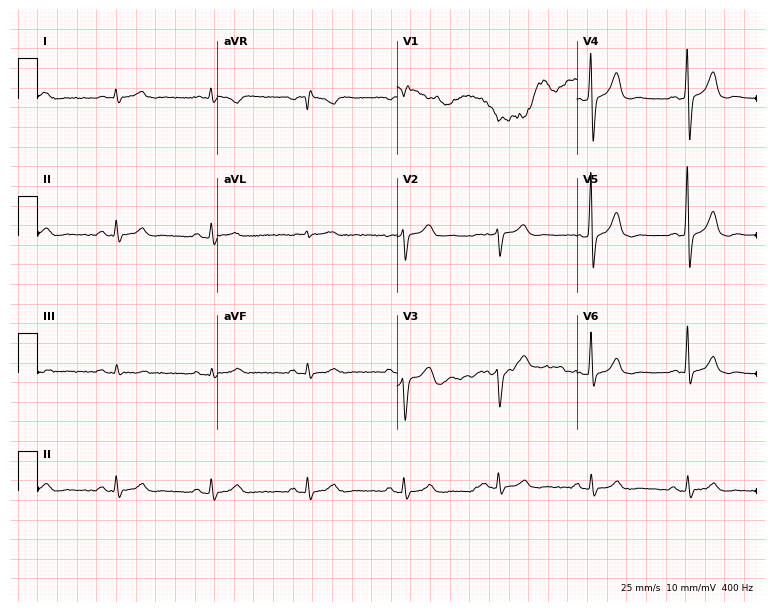
Electrocardiogram (7.3-second recording at 400 Hz), a 50-year-old male patient. Of the six screened findings (first-degree AV block, right bundle branch block, left bundle branch block, sinus bradycardia, atrial fibrillation, sinus tachycardia), none is recorded.